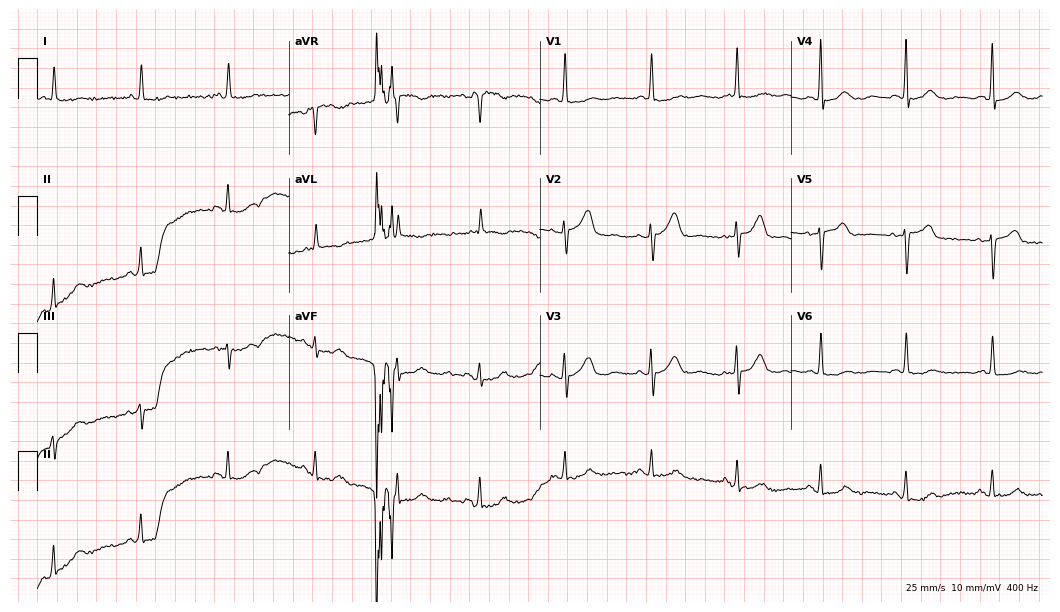
ECG (10.2-second recording at 400 Hz) — a 63-year-old female. Screened for six findings — first-degree AV block, right bundle branch block, left bundle branch block, sinus bradycardia, atrial fibrillation, sinus tachycardia — none is recorded. Other findings, if any, are not listed.